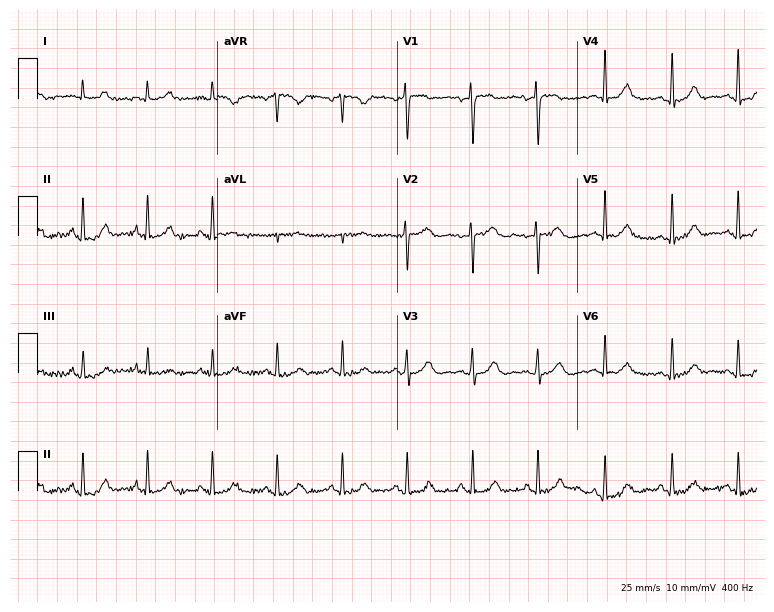
12-lead ECG (7.3-second recording at 400 Hz) from a 46-year-old female. Labelled as a normal ECG.